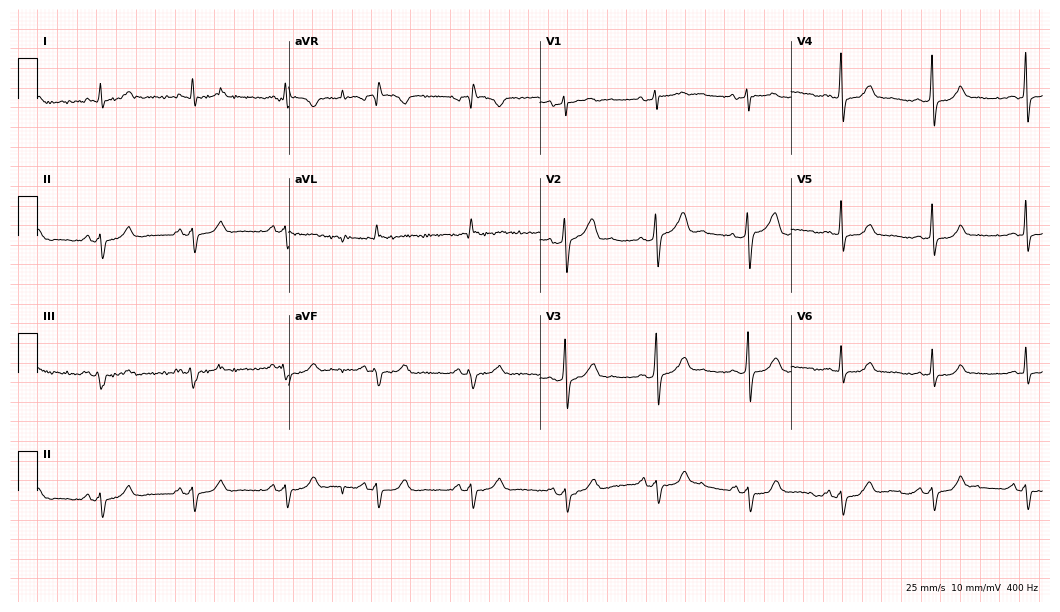
12-lead ECG from a 58-year-old man (10.2-second recording at 400 Hz). No first-degree AV block, right bundle branch block, left bundle branch block, sinus bradycardia, atrial fibrillation or sinus tachycardia recorded for this tracing. Other findings, if any, are not listed.